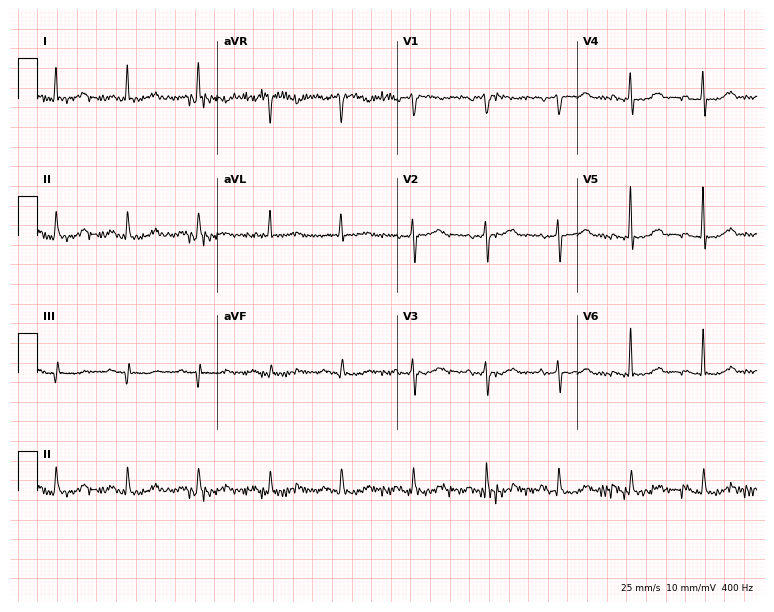
ECG — a woman, 73 years old. Labelled as a normal ECG.